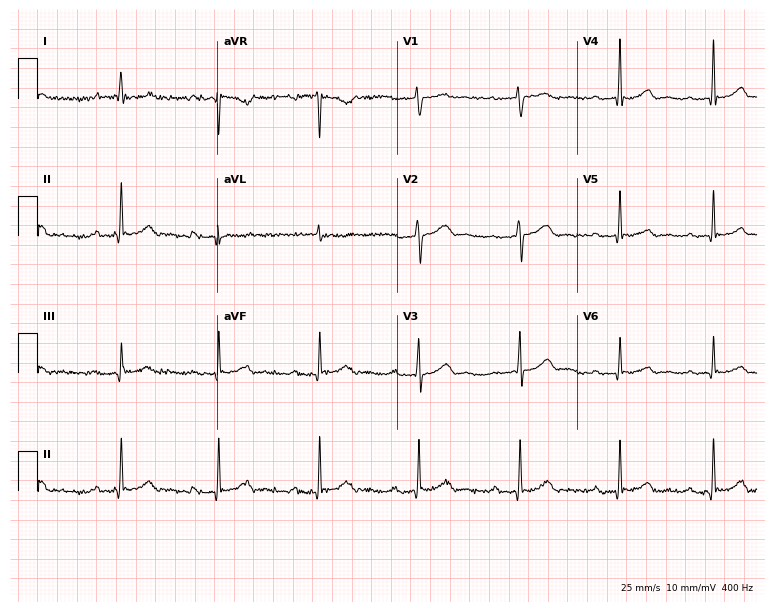
Standard 12-lead ECG recorded from a female, 48 years old. The tracing shows first-degree AV block.